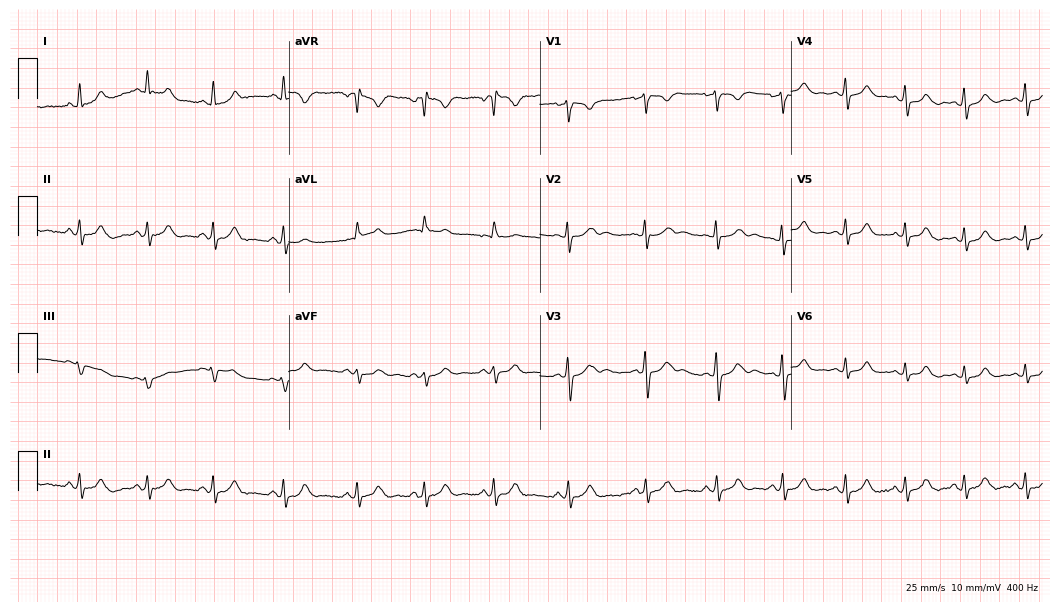
Resting 12-lead electrocardiogram. Patient: a woman, 21 years old. Read as a normal ECG.